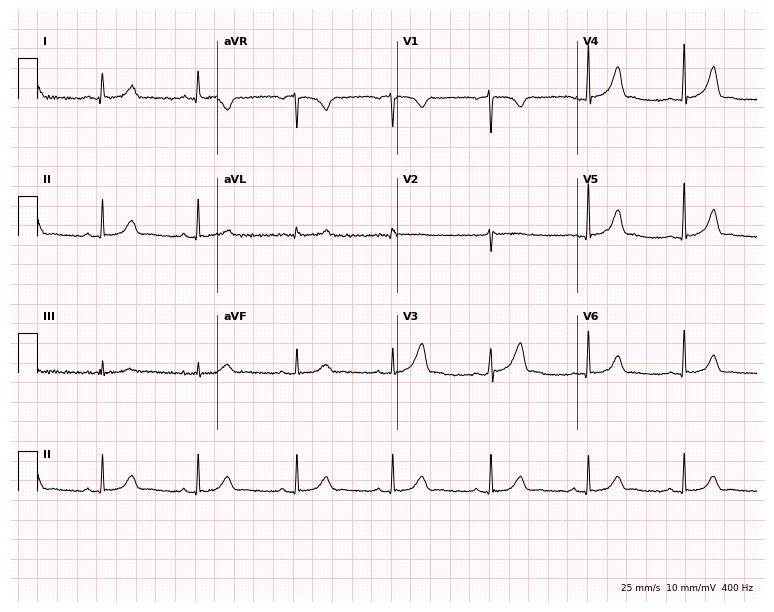
12-lead ECG from a woman, 40 years old (7.3-second recording at 400 Hz). Recorded interpretation: within normal limits.